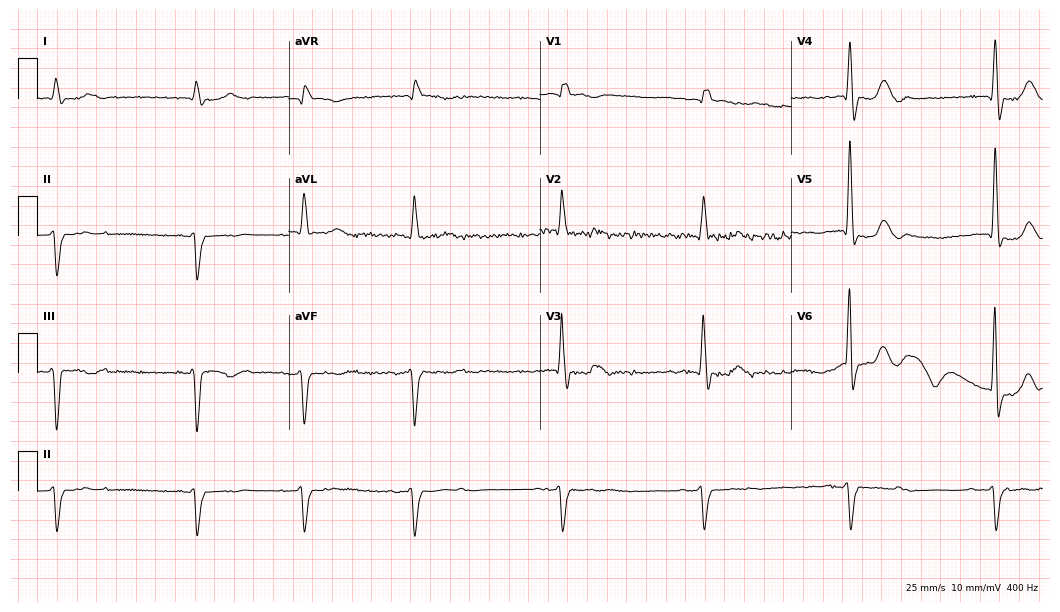
12-lead ECG from a male, 74 years old. Screened for six findings — first-degree AV block, right bundle branch block, left bundle branch block, sinus bradycardia, atrial fibrillation, sinus tachycardia — none is recorded.